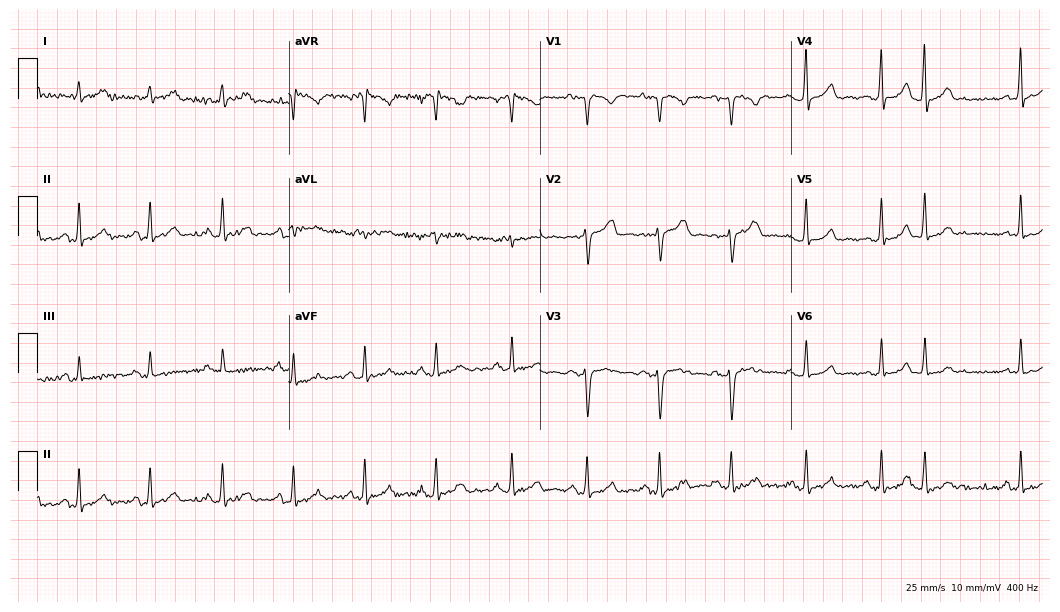
Electrocardiogram, a 32-year-old female patient. Overall reading on record: normal ECG.